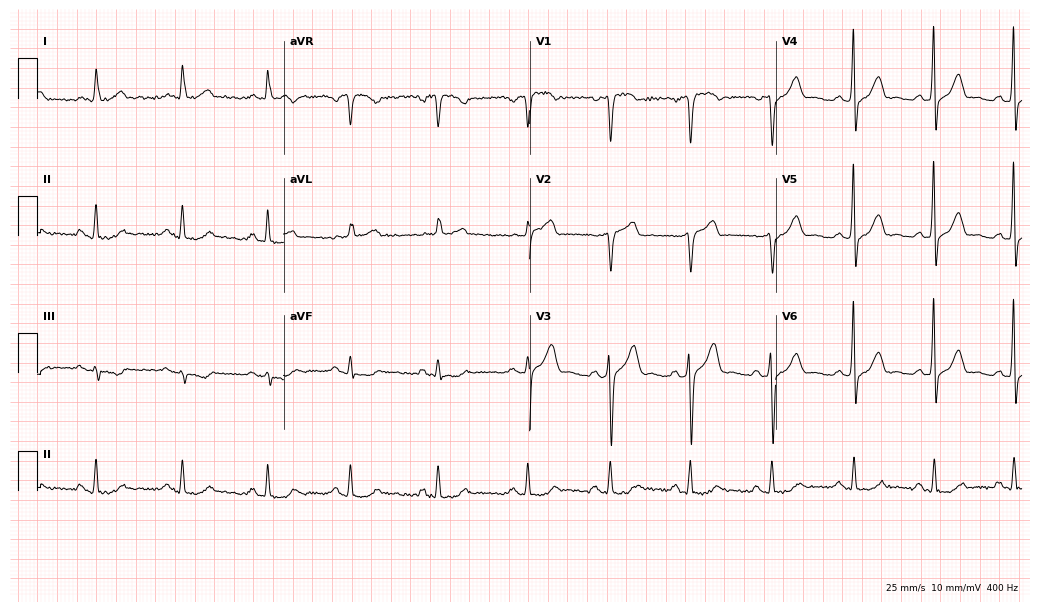
12-lead ECG (10-second recording at 400 Hz) from a male, 55 years old. Screened for six findings — first-degree AV block, right bundle branch block, left bundle branch block, sinus bradycardia, atrial fibrillation, sinus tachycardia — none is recorded. Other findings, if any, are not listed.